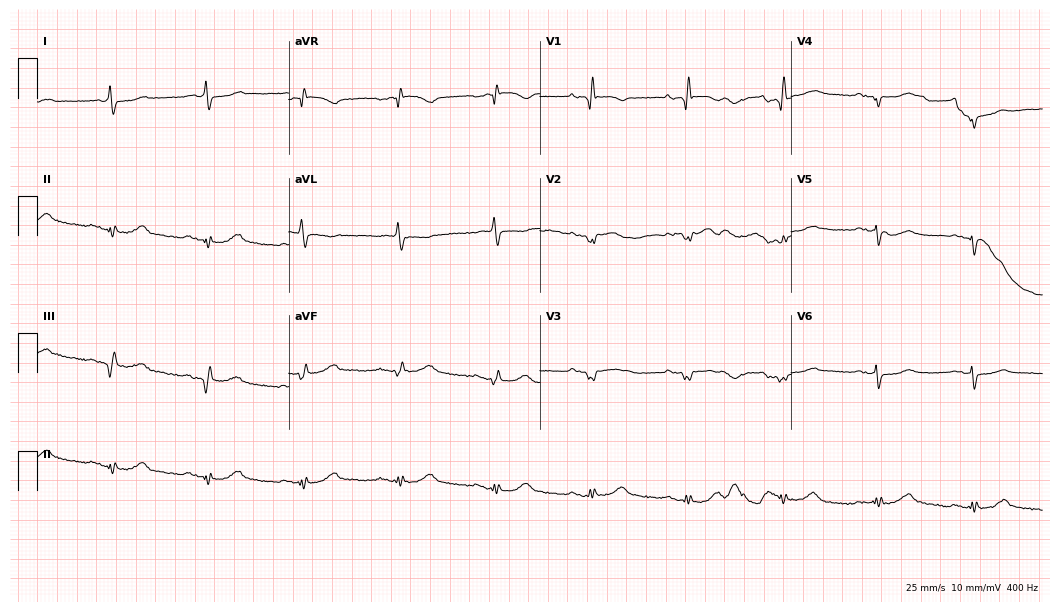
Electrocardiogram, an 84-year-old man. Of the six screened findings (first-degree AV block, right bundle branch block, left bundle branch block, sinus bradycardia, atrial fibrillation, sinus tachycardia), none is recorded. Findings outside these six are not listed.